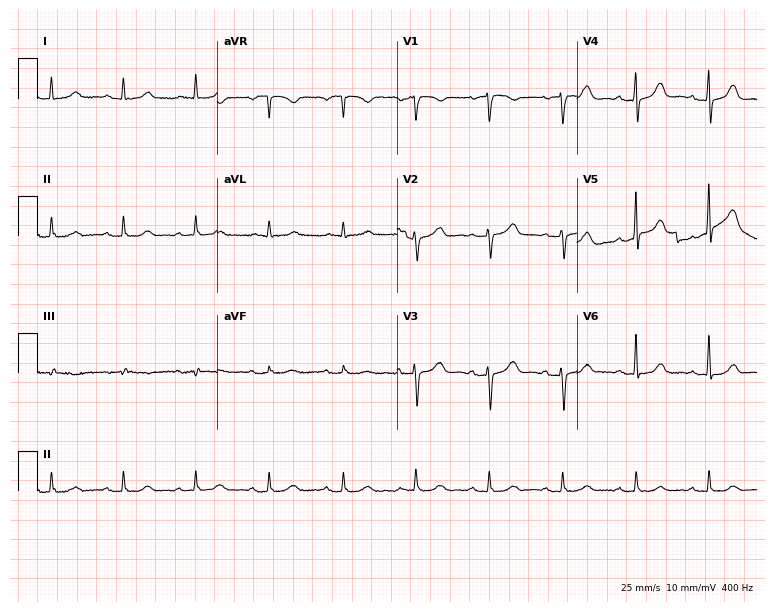
12-lead ECG from a female patient, 80 years old. Labelled as a normal ECG.